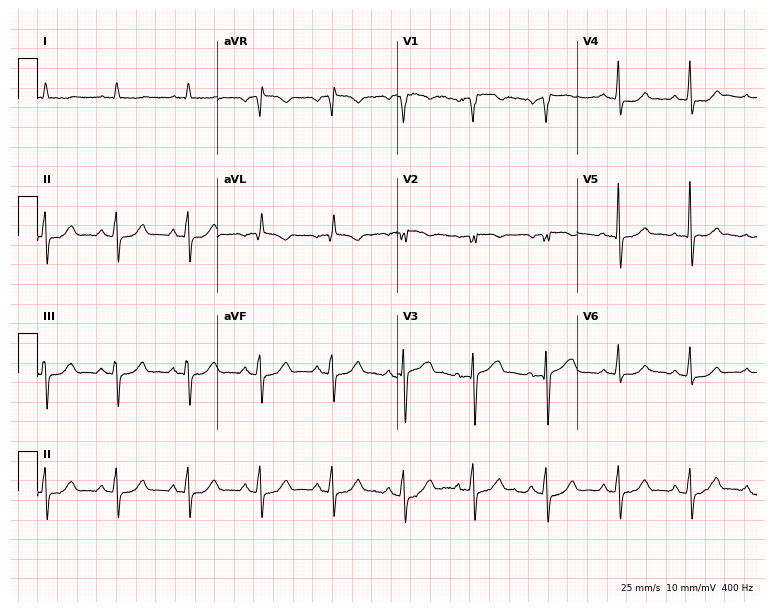
12-lead ECG from a 73-year-old male patient (7.3-second recording at 400 Hz). No first-degree AV block, right bundle branch block (RBBB), left bundle branch block (LBBB), sinus bradycardia, atrial fibrillation (AF) or sinus tachycardia recorded for this tracing. Other findings, if any, are not listed.